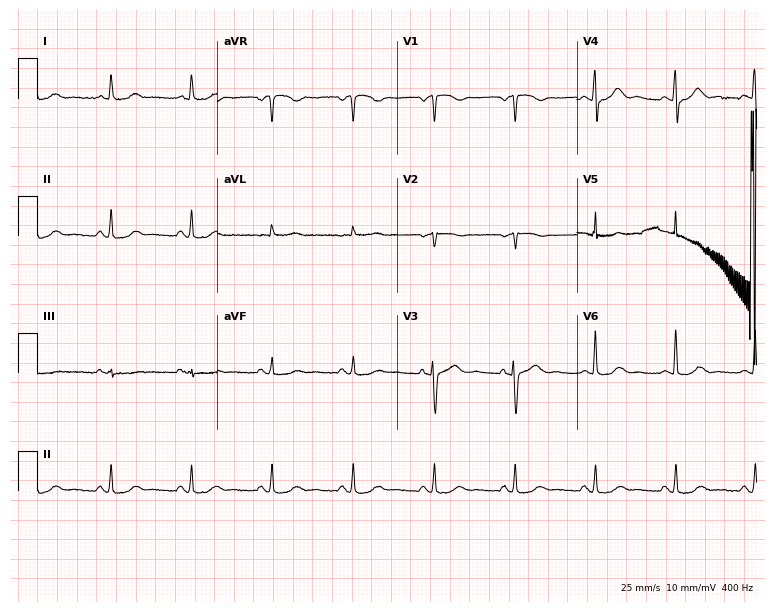
Standard 12-lead ECG recorded from a 65-year-old female patient (7.3-second recording at 400 Hz). Read as a normal ECG.